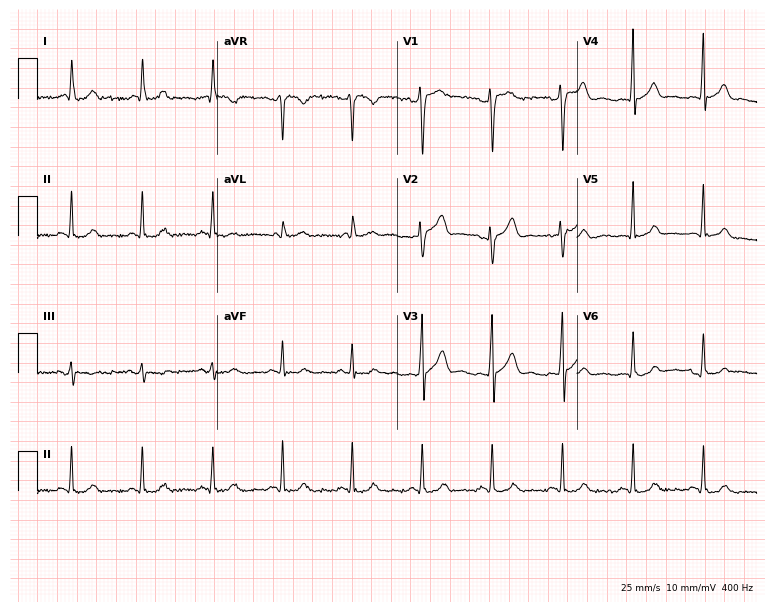
Electrocardiogram, a man, 46 years old. Overall reading on record: normal ECG.